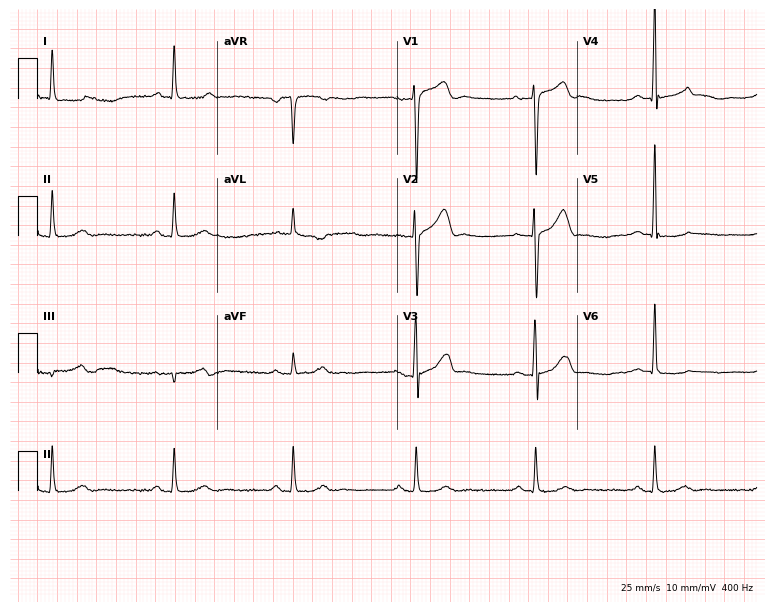
ECG — a male patient, 70 years old. Findings include sinus bradycardia (a sinus rate of 50 beats per minute or less).